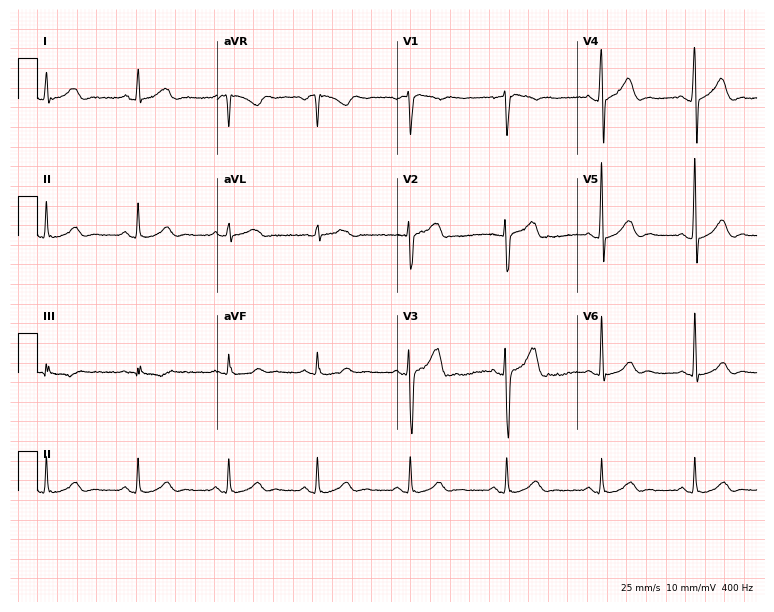
Standard 12-lead ECG recorded from a man, 37 years old. Read as a normal ECG.